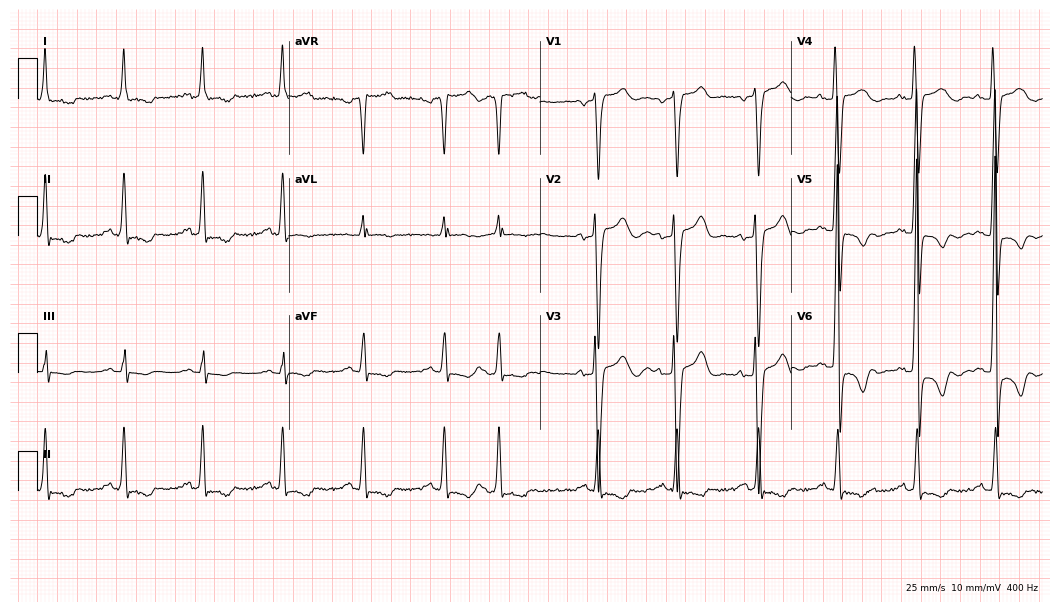
Resting 12-lead electrocardiogram. Patient: a 59-year-old male. None of these six findings is recorded: first-degree AV block, right bundle branch block, left bundle branch block, sinus bradycardia, atrial fibrillation, sinus tachycardia.